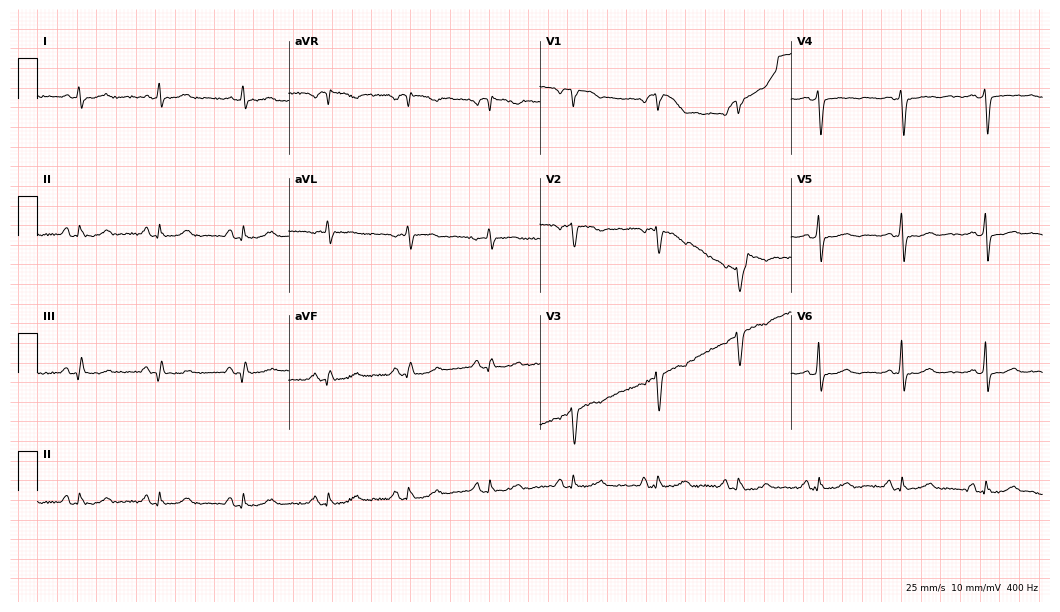
Electrocardiogram, a female, 68 years old. Of the six screened findings (first-degree AV block, right bundle branch block, left bundle branch block, sinus bradycardia, atrial fibrillation, sinus tachycardia), none is recorded.